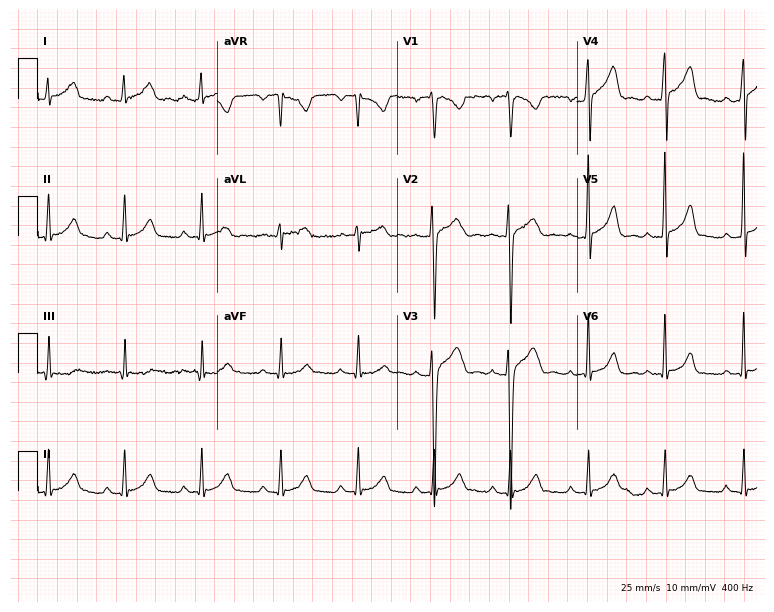
ECG — a male patient, 17 years old. Labelled as a normal ECG.